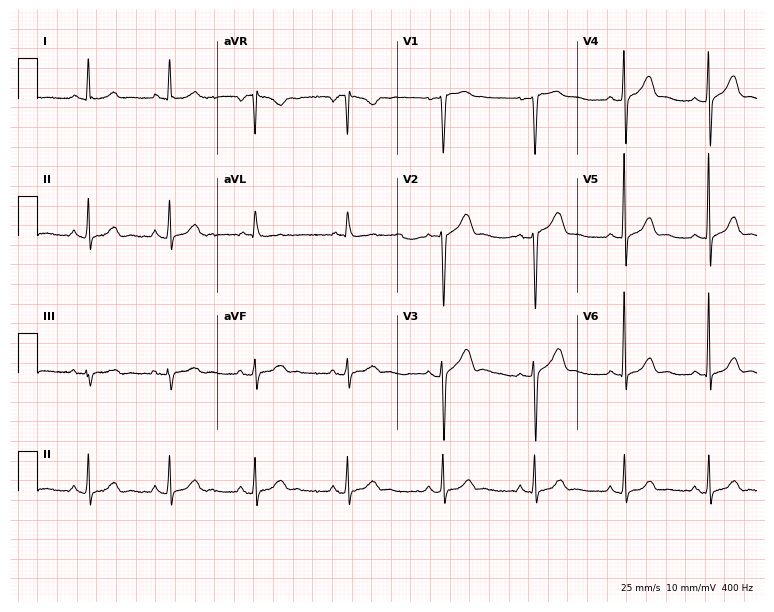
Standard 12-lead ECG recorded from a 53-year-old woman. Read as a normal ECG.